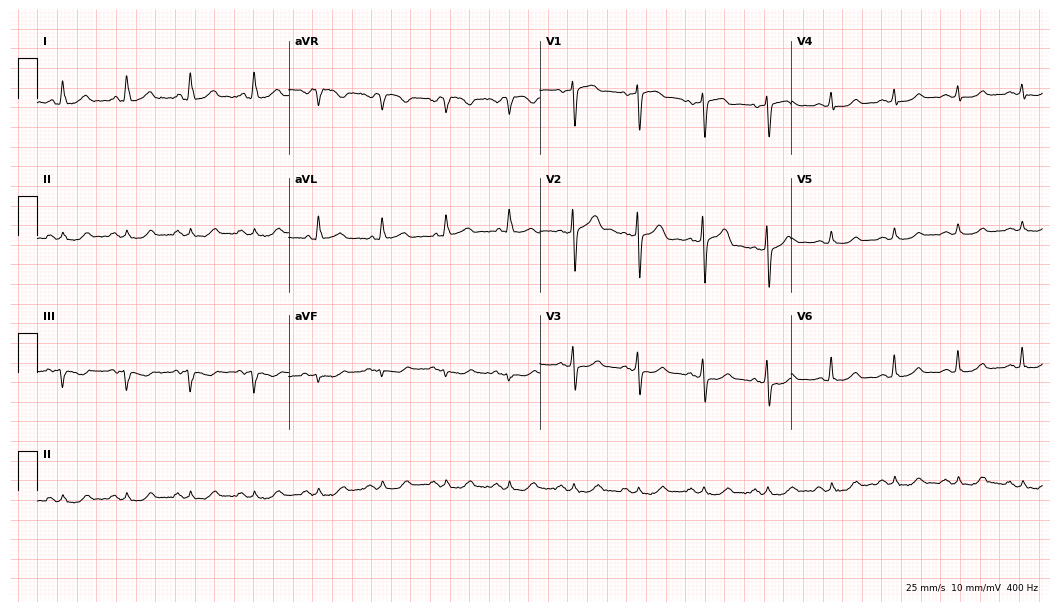
12-lead ECG from a female patient, 53 years old. No first-degree AV block, right bundle branch block, left bundle branch block, sinus bradycardia, atrial fibrillation or sinus tachycardia recorded for this tracing. Other findings, if any, are not listed.